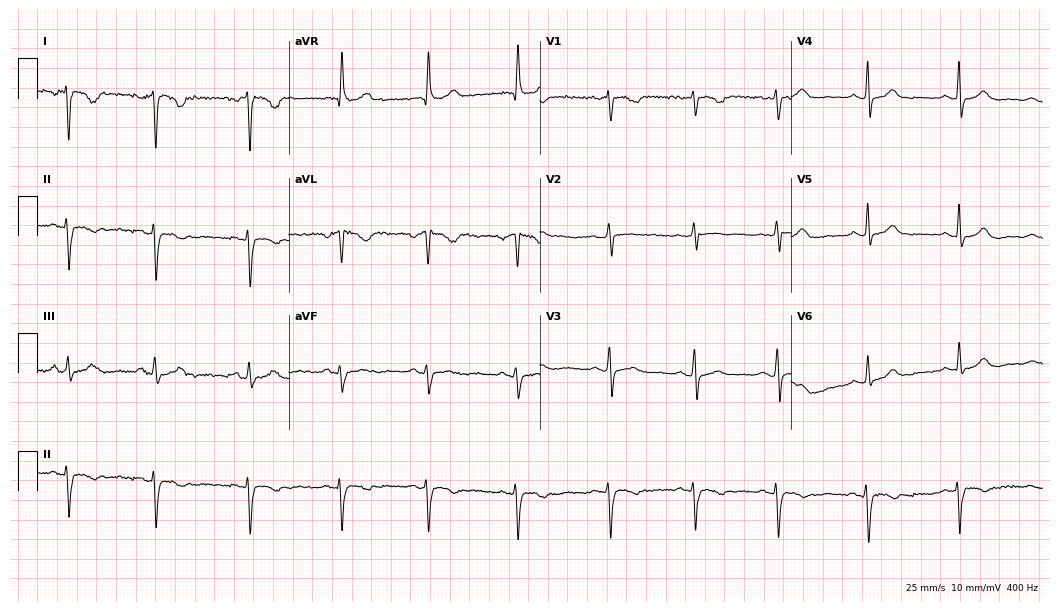
Electrocardiogram, a female, 50 years old. Of the six screened findings (first-degree AV block, right bundle branch block, left bundle branch block, sinus bradycardia, atrial fibrillation, sinus tachycardia), none is recorded. Findings outside these six are not listed.